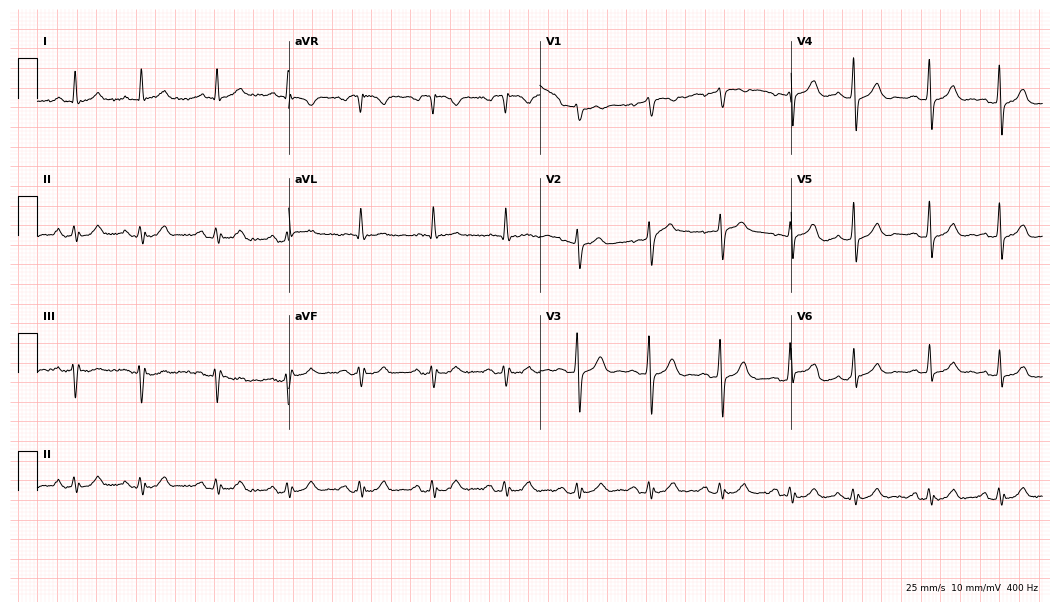
Resting 12-lead electrocardiogram (10.2-second recording at 400 Hz). Patient: a 74-year-old male. None of these six findings is recorded: first-degree AV block, right bundle branch block, left bundle branch block, sinus bradycardia, atrial fibrillation, sinus tachycardia. Findings outside these six are not listed.